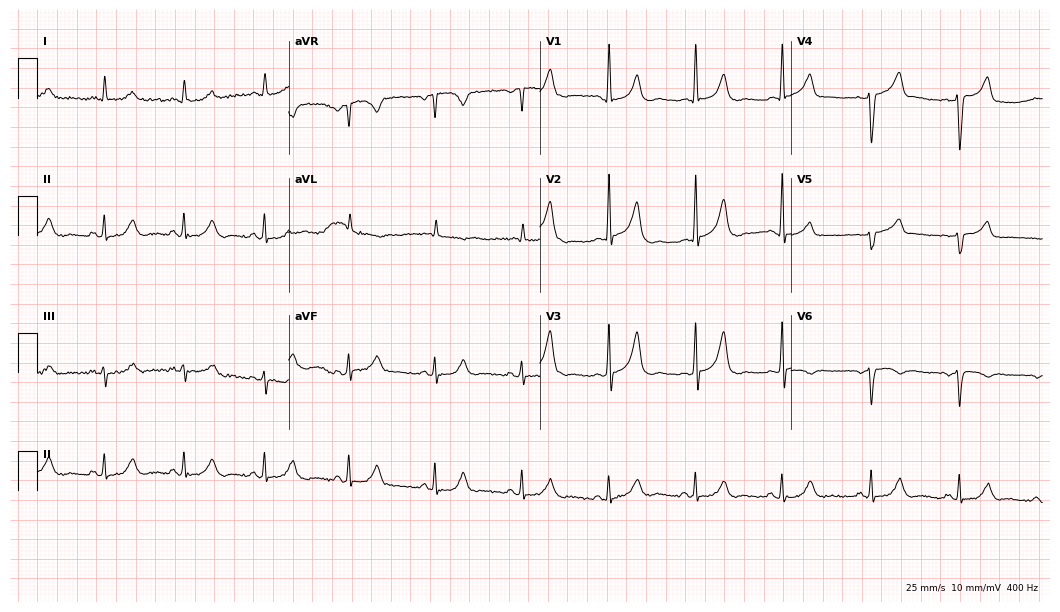
Standard 12-lead ECG recorded from a male patient, 85 years old (10.2-second recording at 400 Hz). None of these six findings is recorded: first-degree AV block, right bundle branch block, left bundle branch block, sinus bradycardia, atrial fibrillation, sinus tachycardia.